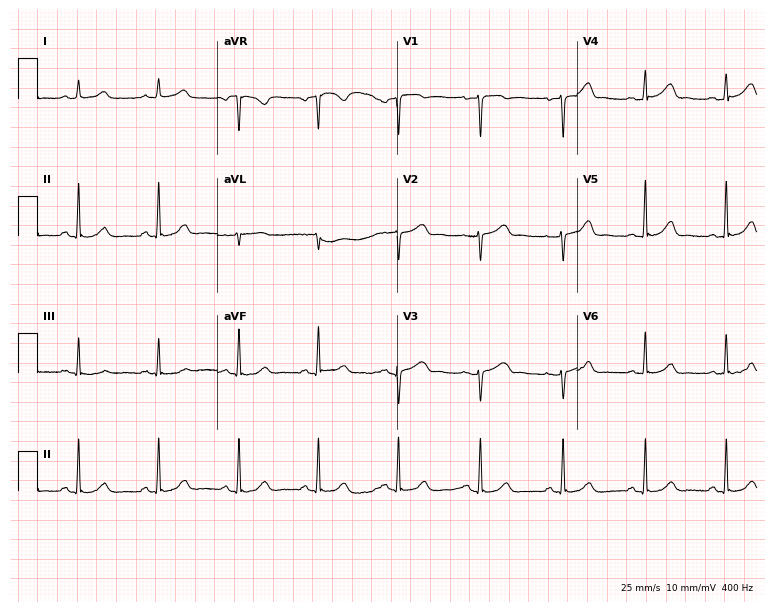
Resting 12-lead electrocardiogram. Patient: a 46-year-old female. Read as a normal ECG.